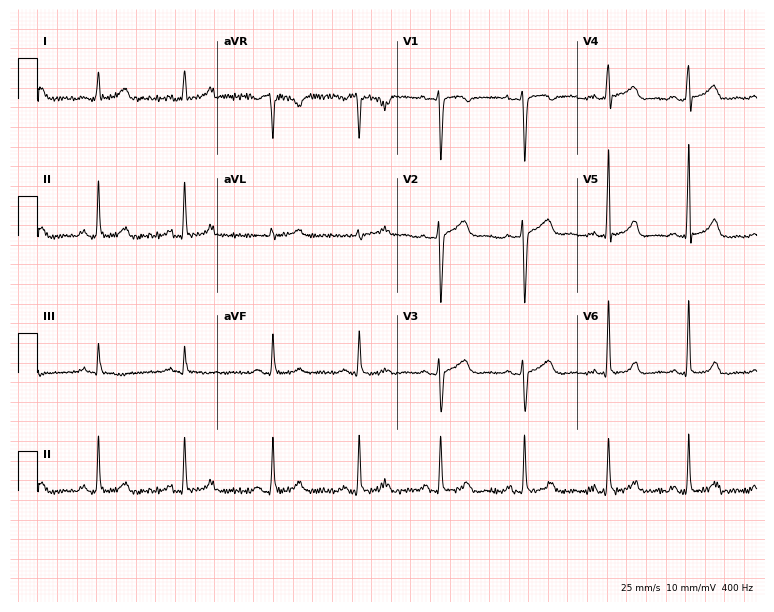
ECG (7.3-second recording at 400 Hz) — a female patient, 31 years old. Labelled as a normal ECG.